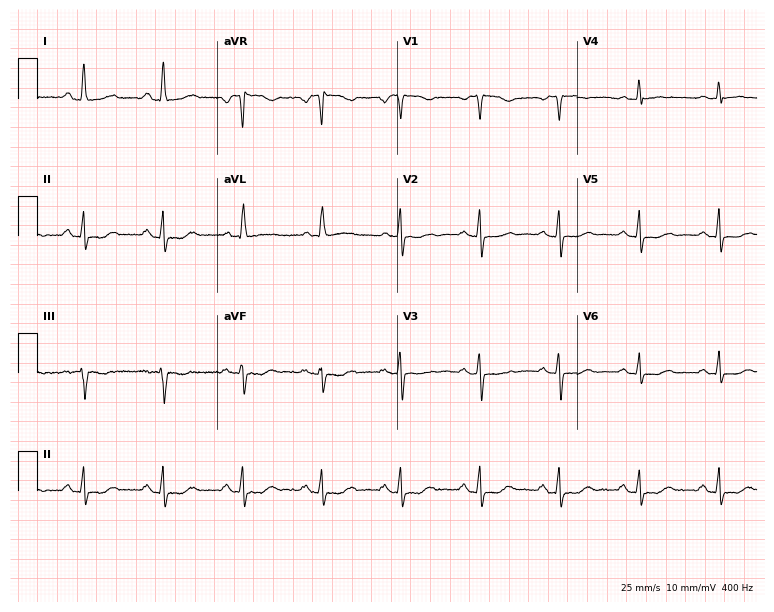
Resting 12-lead electrocardiogram (7.3-second recording at 400 Hz). Patient: a 52-year-old female. Read as a normal ECG.